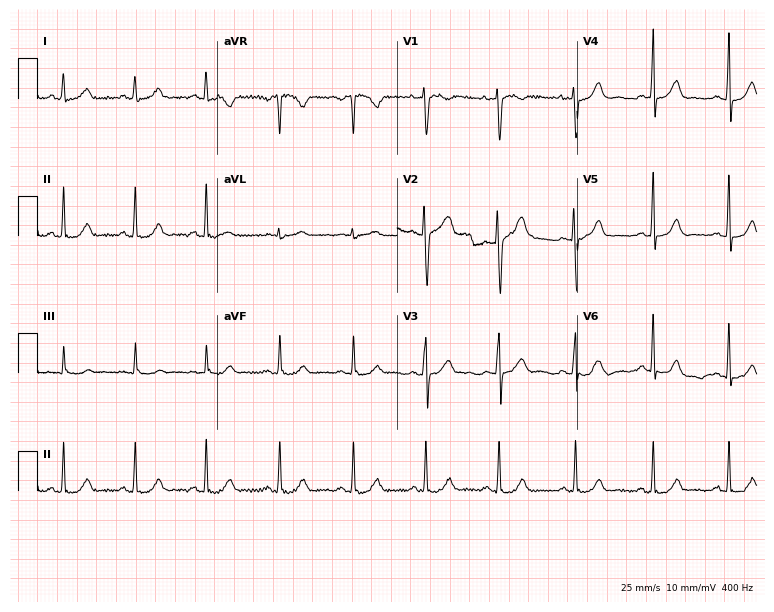
Resting 12-lead electrocardiogram. Patient: a woman, 31 years old. Read as a normal ECG.